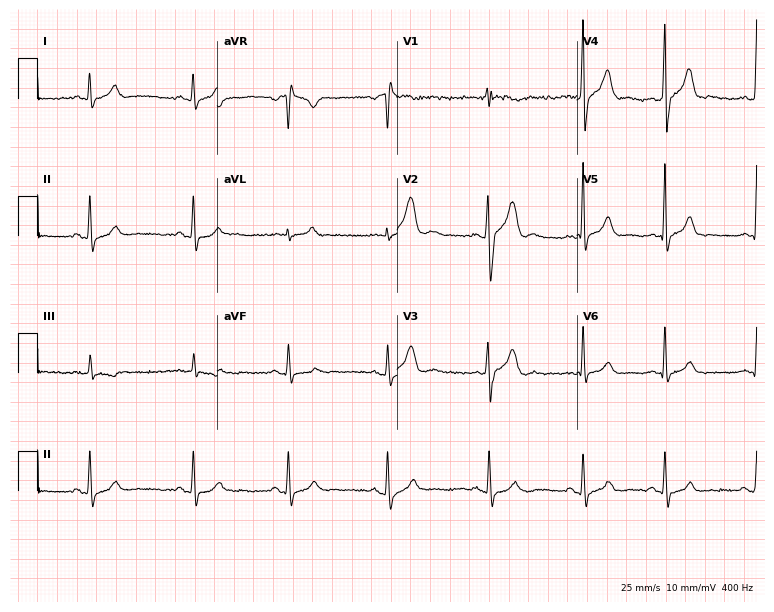
ECG (7.3-second recording at 400 Hz) — a 29-year-old male patient. Labelled as a normal ECG.